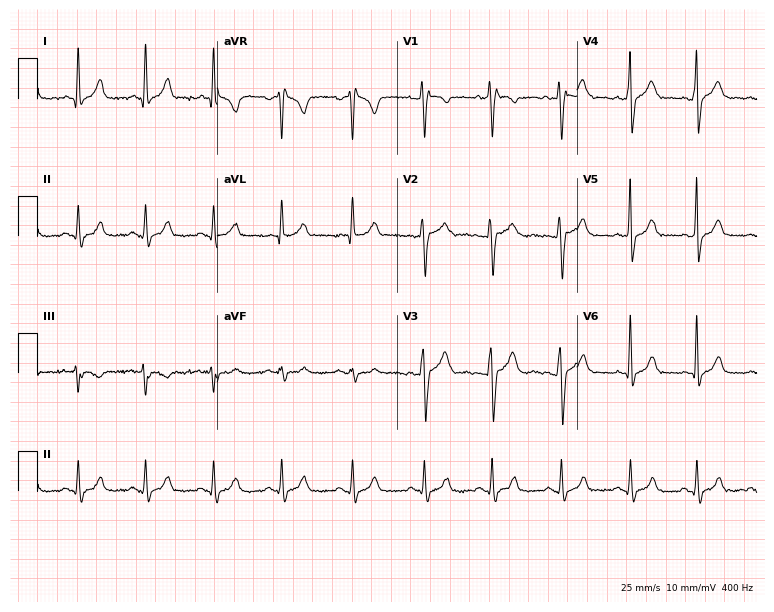
Electrocardiogram (7.3-second recording at 400 Hz), a male, 25 years old. Overall reading on record: normal ECG.